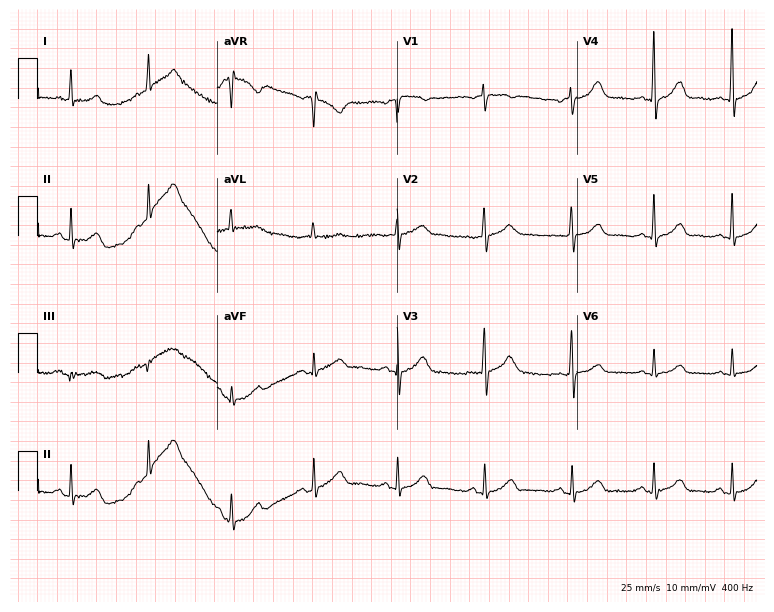
ECG — a female patient, 49 years old. Labelled as a normal ECG.